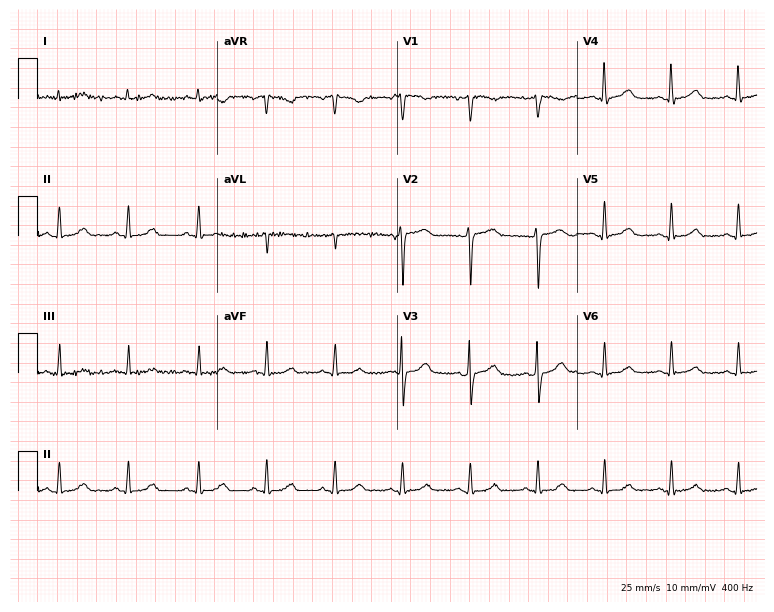
Electrocardiogram (7.3-second recording at 400 Hz), a 61-year-old male patient. Of the six screened findings (first-degree AV block, right bundle branch block, left bundle branch block, sinus bradycardia, atrial fibrillation, sinus tachycardia), none is recorded. Other findings, if any, are not listed.